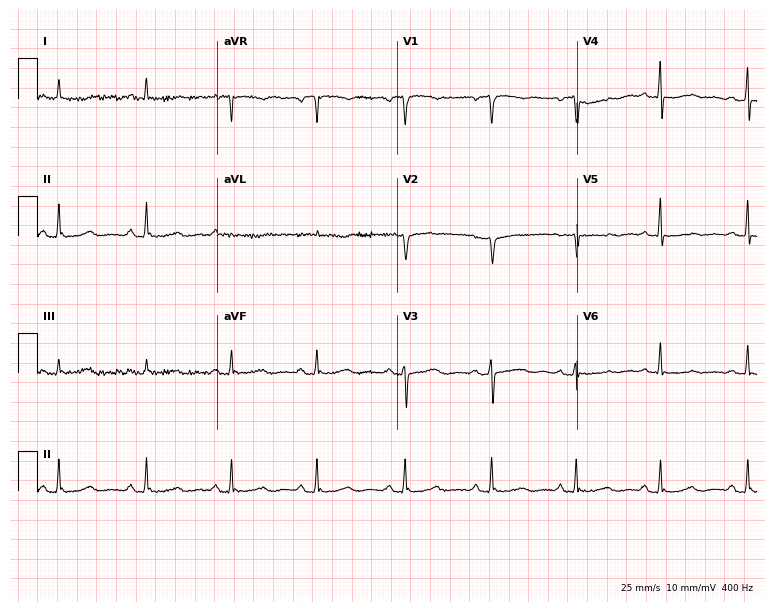
Standard 12-lead ECG recorded from a female patient, 61 years old (7.3-second recording at 400 Hz). Read as a normal ECG.